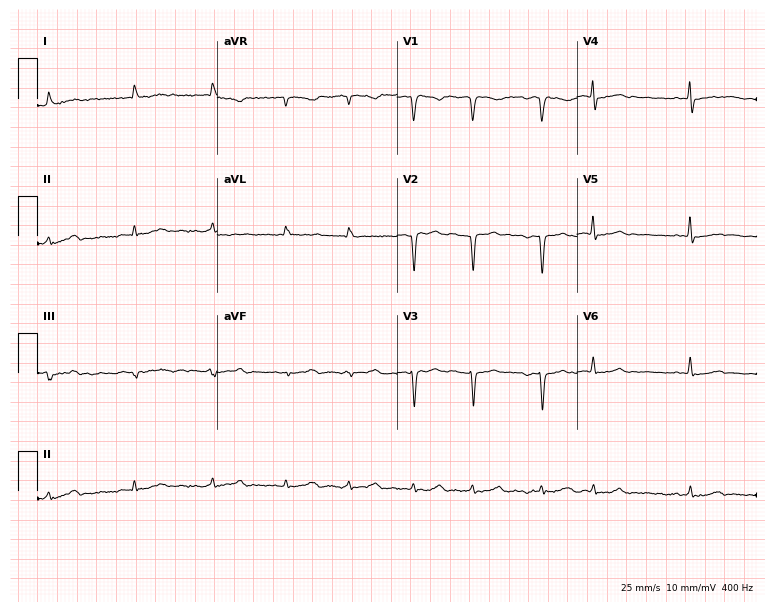
12-lead ECG from a 65-year-old woman. Shows atrial fibrillation (AF).